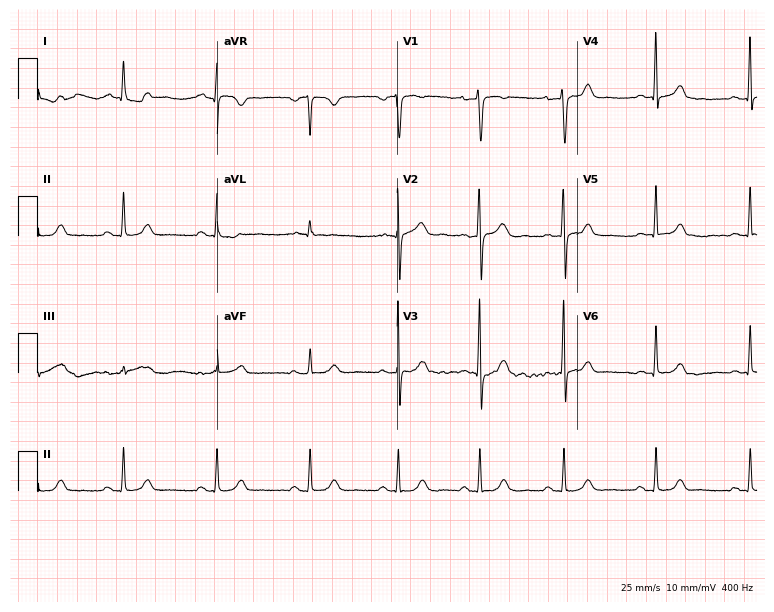
ECG (7.3-second recording at 400 Hz) — a 33-year-old female. Screened for six findings — first-degree AV block, right bundle branch block, left bundle branch block, sinus bradycardia, atrial fibrillation, sinus tachycardia — none is recorded. Only these six findings were labelled.